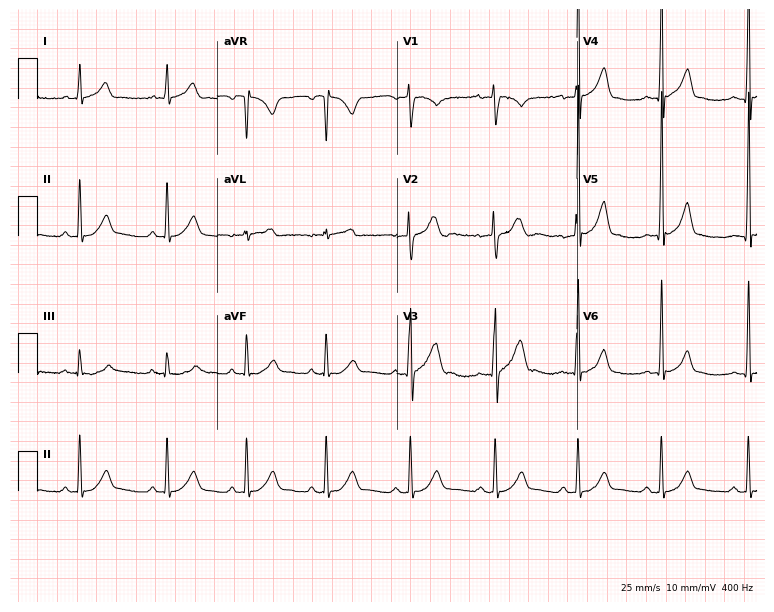
Electrocardiogram, a 32-year-old male patient. Overall reading on record: normal ECG.